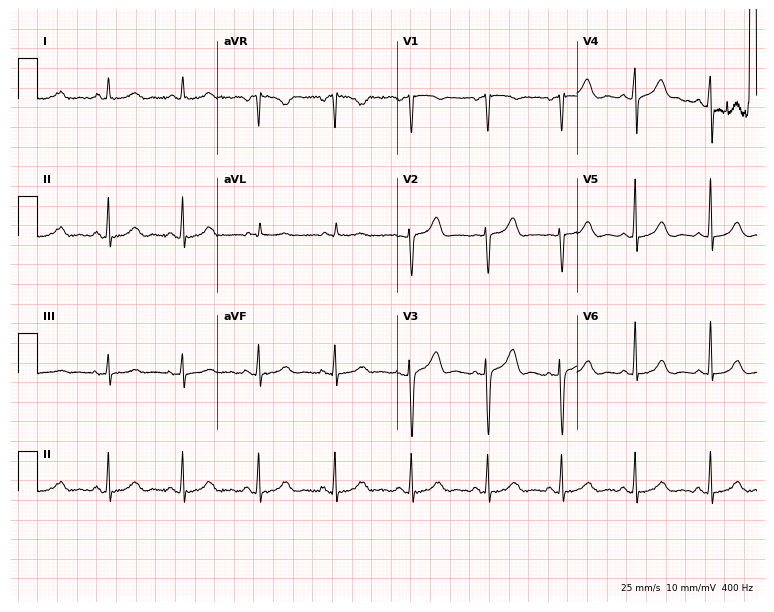
Electrocardiogram, a female patient, 52 years old. Overall reading on record: normal ECG.